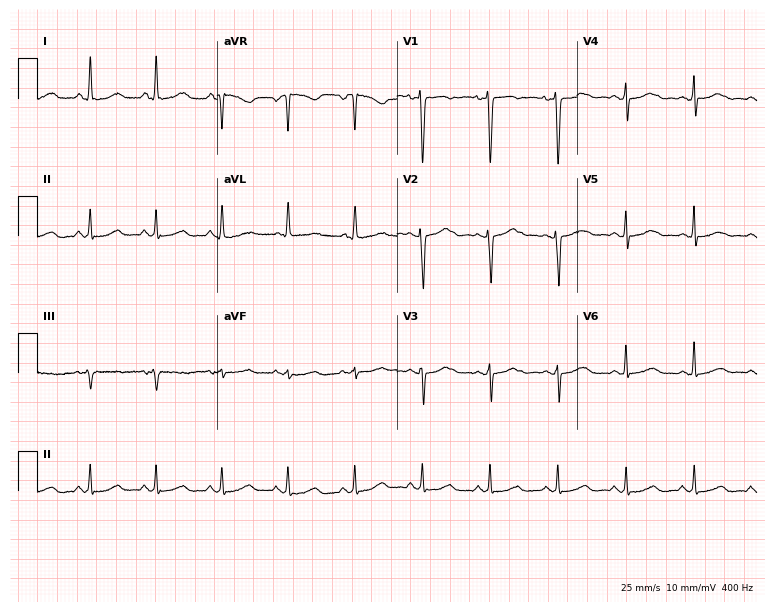
12-lead ECG from a 45-year-old female patient. Screened for six findings — first-degree AV block, right bundle branch block (RBBB), left bundle branch block (LBBB), sinus bradycardia, atrial fibrillation (AF), sinus tachycardia — none is recorded. Only these six findings were labelled.